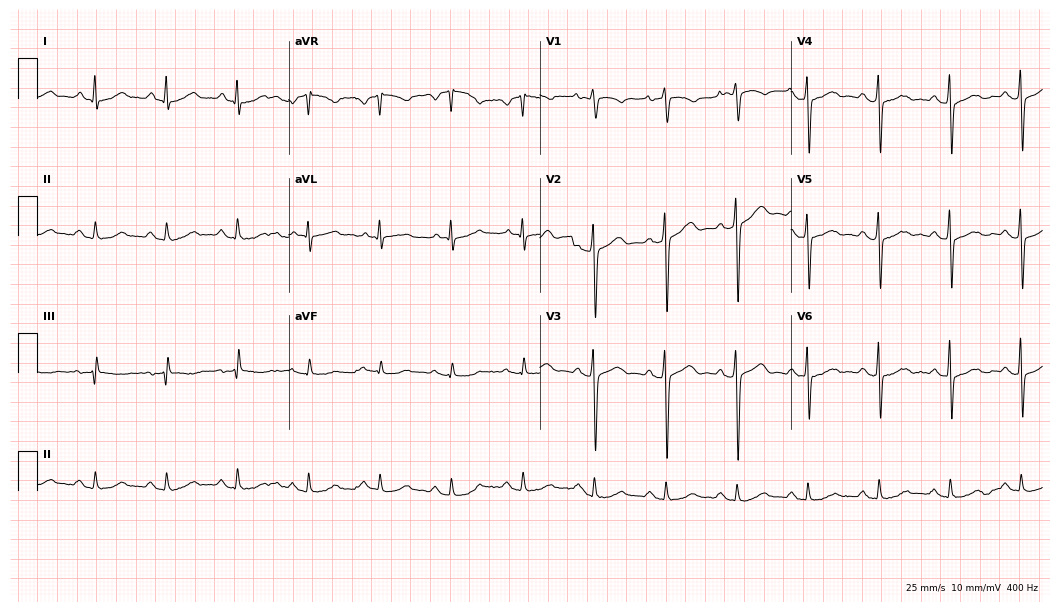
Standard 12-lead ECG recorded from a male patient, 74 years old. None of these six findings is recorded: first-degree AV block, right bundle branch block (RBBB), left bundle branch block (LBBB), sinus bradycardia, atrial fibrillation (AF), sinus tachycardia.